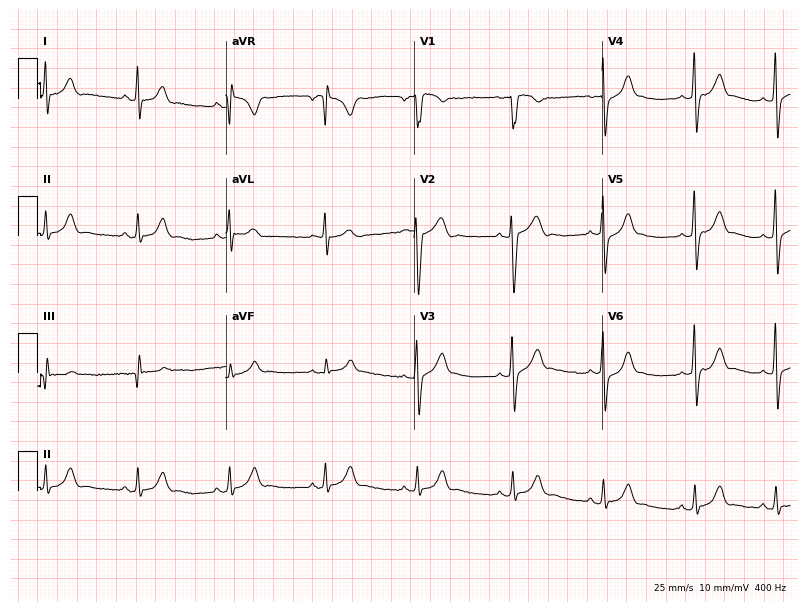
Standard 12-lead ECG recorded from a 23-year-old male patient. Read as a normal ECG.